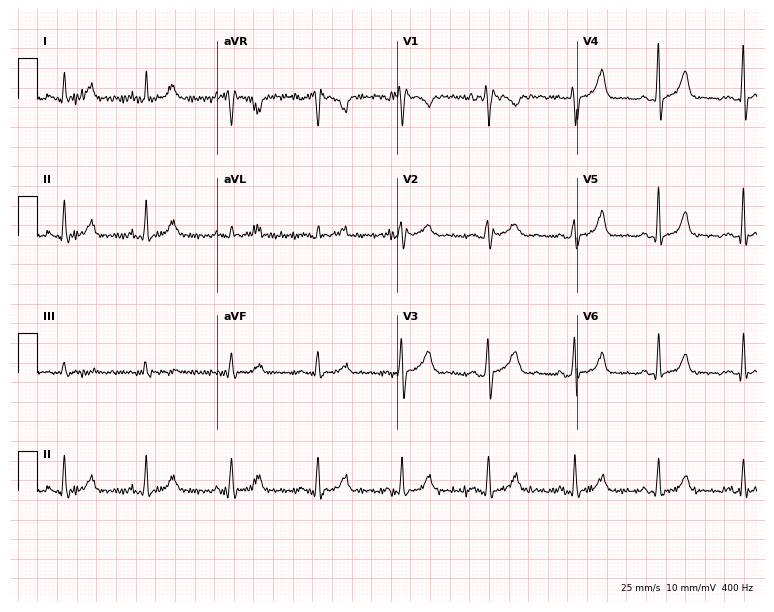
12-lead ECG from a woman, 34 years old. Screened for six findings — first-degree AV block, right bundle branch block, left bundle branch block, sinus bradycardia, atrial fibrillation, sinus tachycardia — none is recorded.